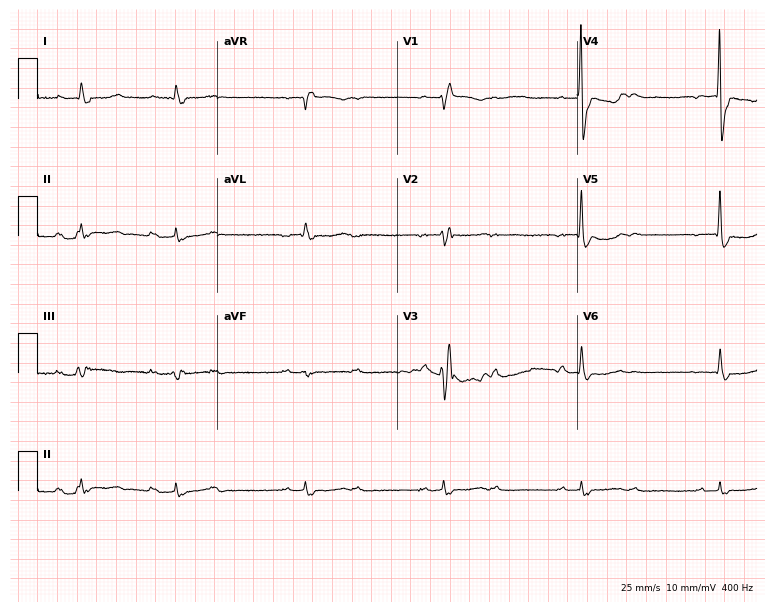
ECG (7.3-second recording at 400 Hz) — a 76-year-old male. Findings include right bundle branch block.